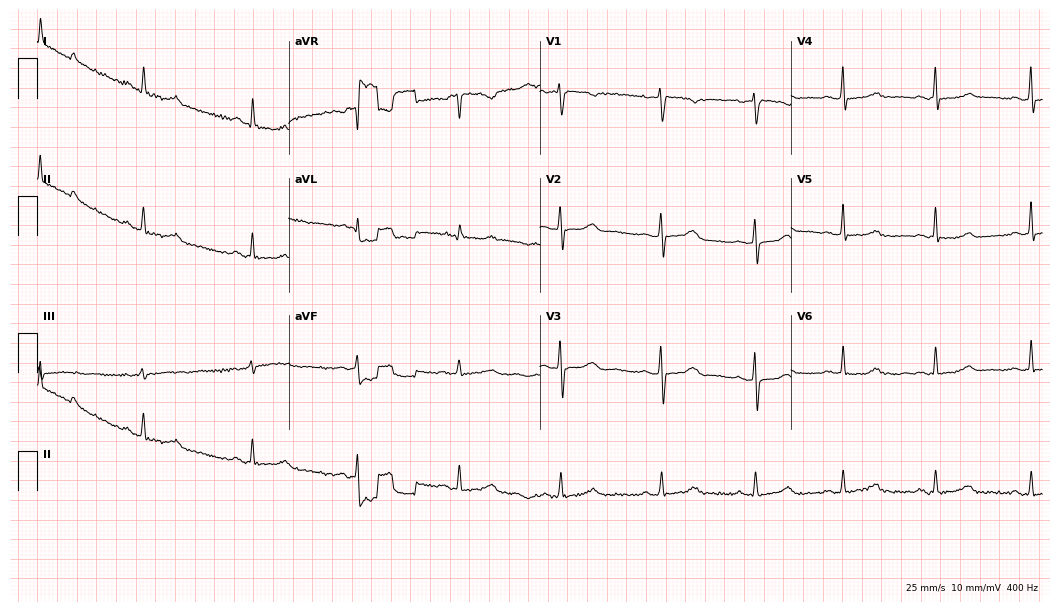
12-lead ECG from a 51-year-old female patient. Labelled as a normal ECG.